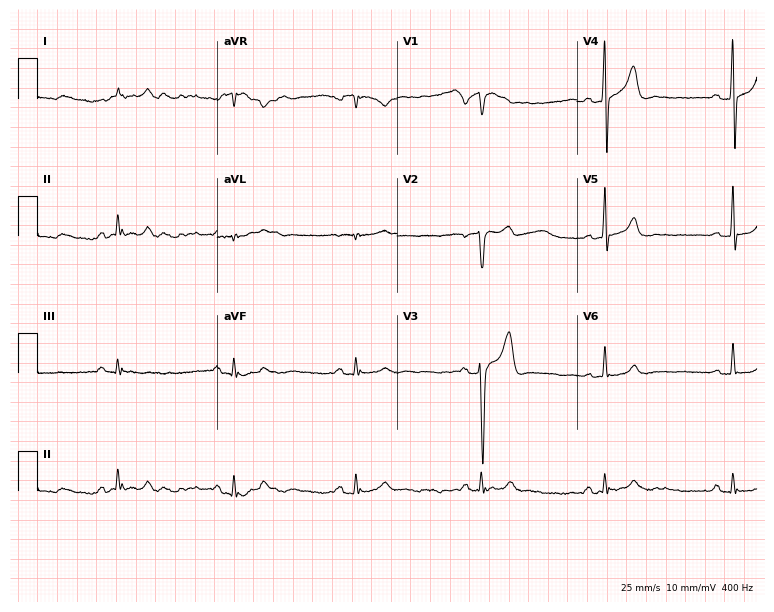
ECG — a male patient, 58 years old. Screened for six findings — first-degree AV block, right bundle branch block, left bundle branch block, sinus bradycardia, atrial fibrillation, sinus tachycardia — none is recorded. Other findings, if any, are not listed.